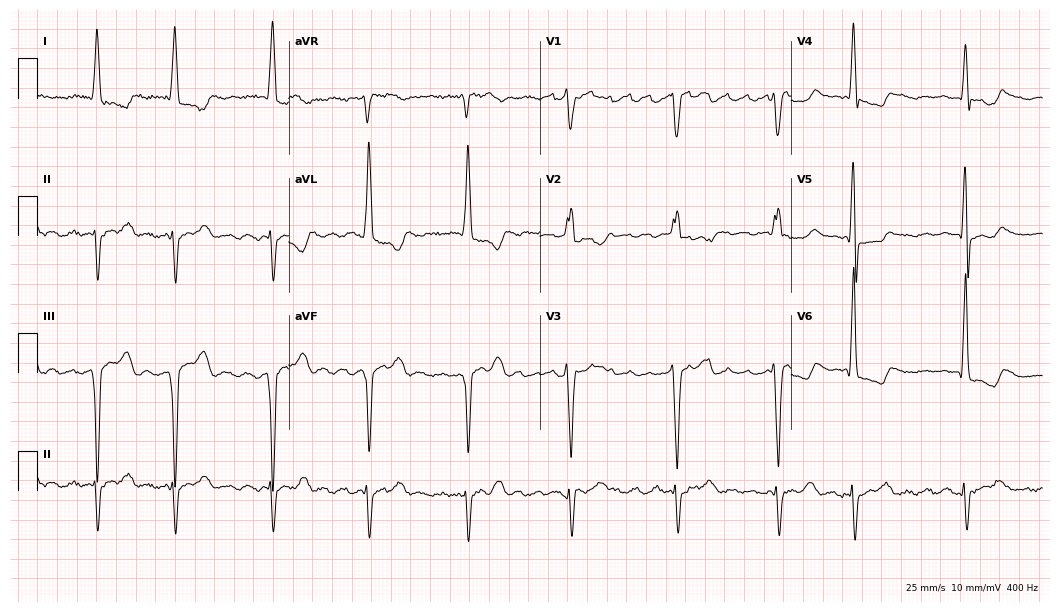
Electrocardiogram (10.2-second recording at 400 Hz), a 69-year-old female. Interpretation includes right bundle branch block.